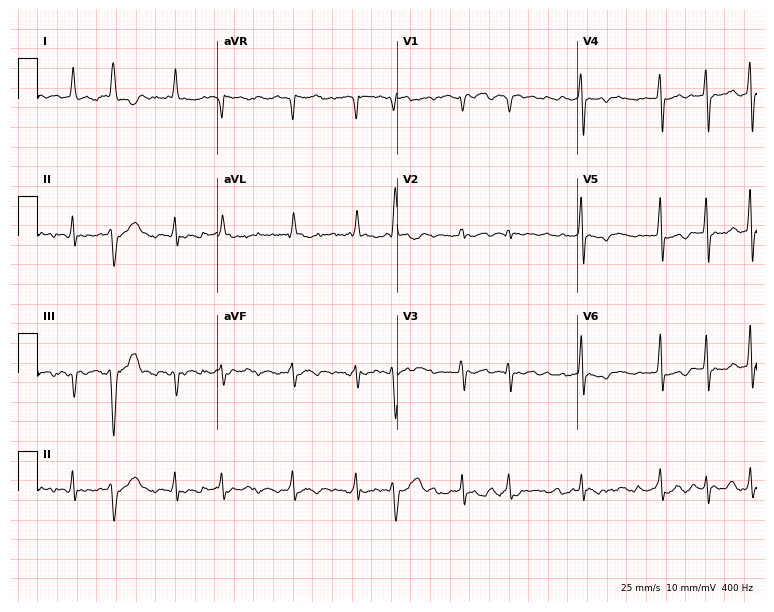
Standard 12-lead ECG recorded from a man, 51 years old. None of these six findings is recorded: first-degree AV block, right bundle branch block, left bundle branch block, sinus bradycardia, atrial fibrillation, sinus tachycardia. Only these six findings were labelled.